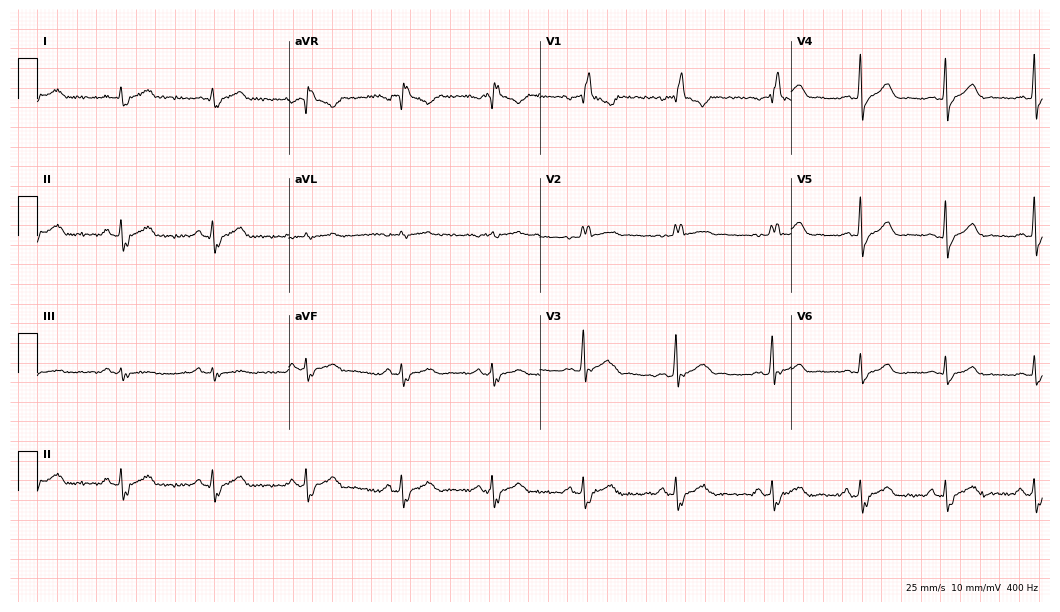
12-lead ECG from a man, 55 years old. Shows right bundle branch block (RBBB).